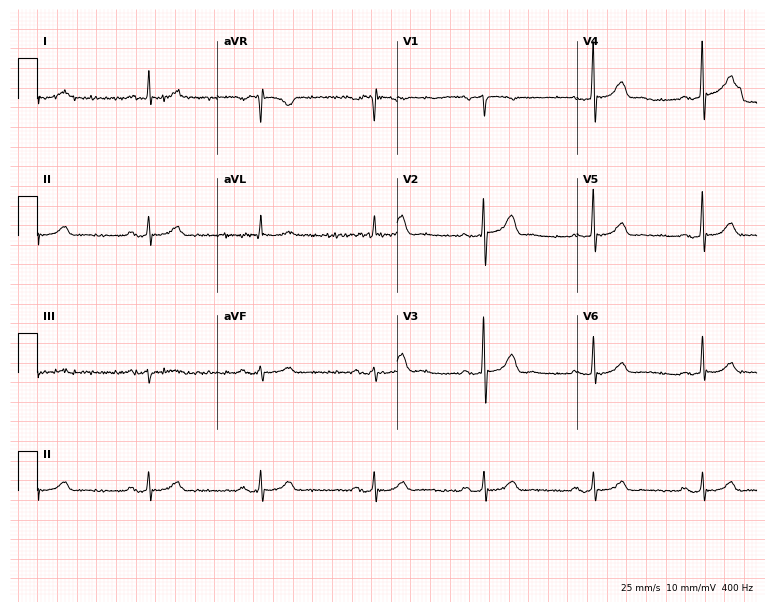
12-lead ECG from a man, 63 years old. No first-degree AV block, right bundle branch block (RBBB), left bundle branch block (LBBB), sinus bradycardia, atrial fibrillation (AF) or sinus tachycardia recorded for this tracing. Findings outside these six are not listed.